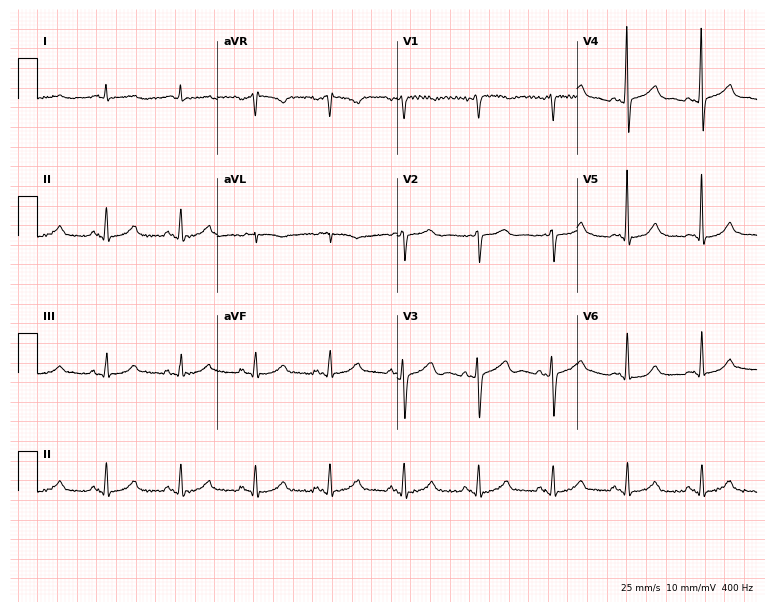
Resting 12-lead electrocardiogram (7.3-second recording at 400 Hz). Patient: a female, 59 years old. Read as a normal ECG.